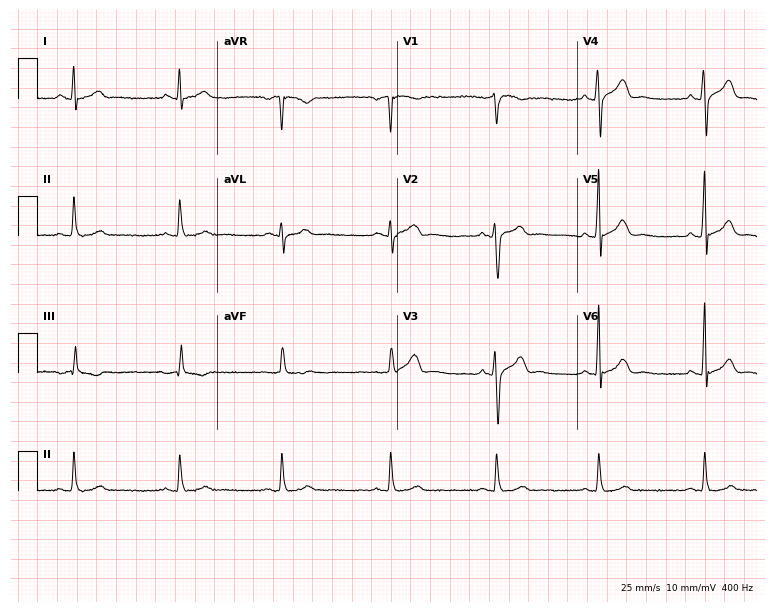
12-lead ECG from a 40-year-old male. Labelled as a normal ECG.